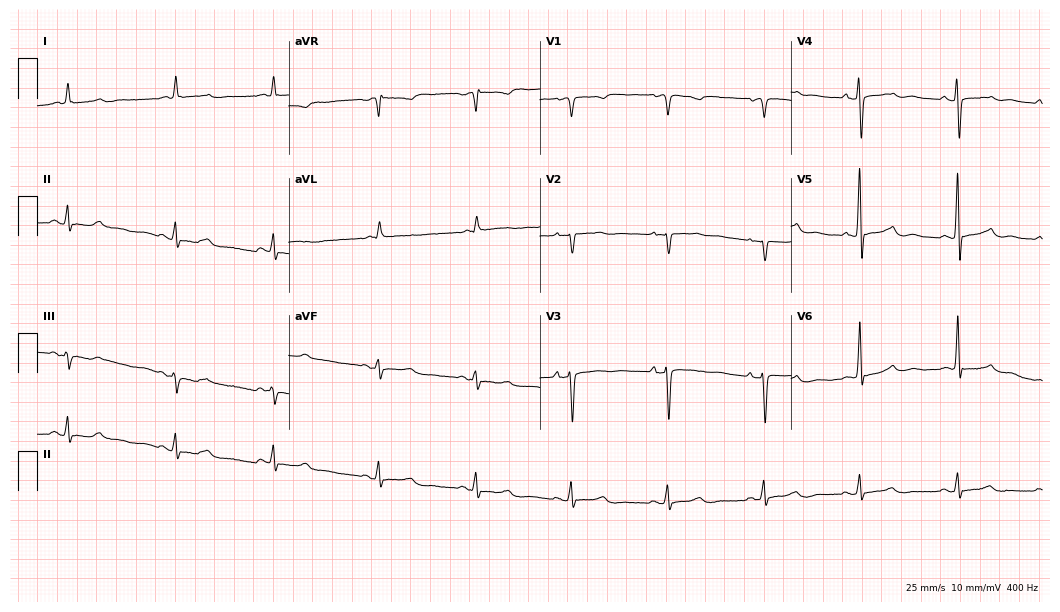
ECG (10.2-second recording at 400 Hz) — a 74-year-old female patient. Screened for six findings — first-degree AV block, right bundle branch block (RBBB), left bundle branch block (LBBB), sinus bradycardia, atrial fibrillation (AF), sinus tachycardia — none is recorded.